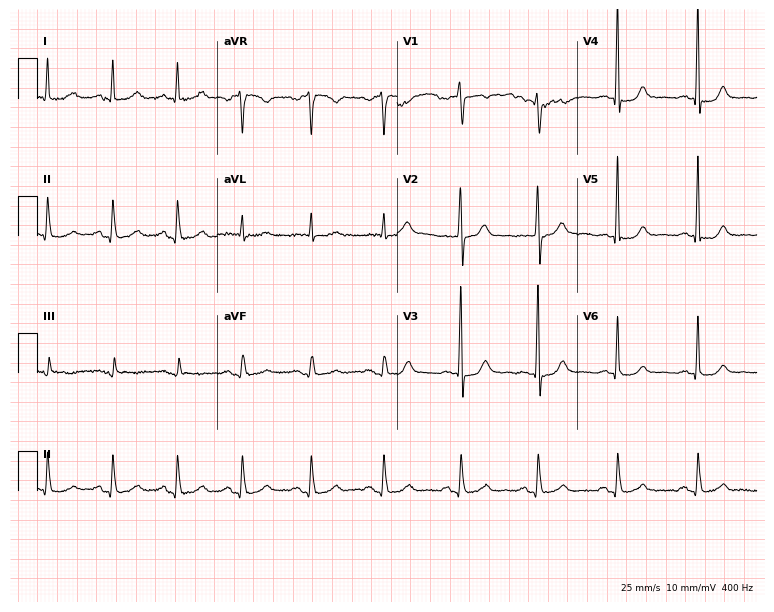
ECG (7.3-second recording at 400 Hz) — a female, 82 years old. Labelled as a normal ECG.